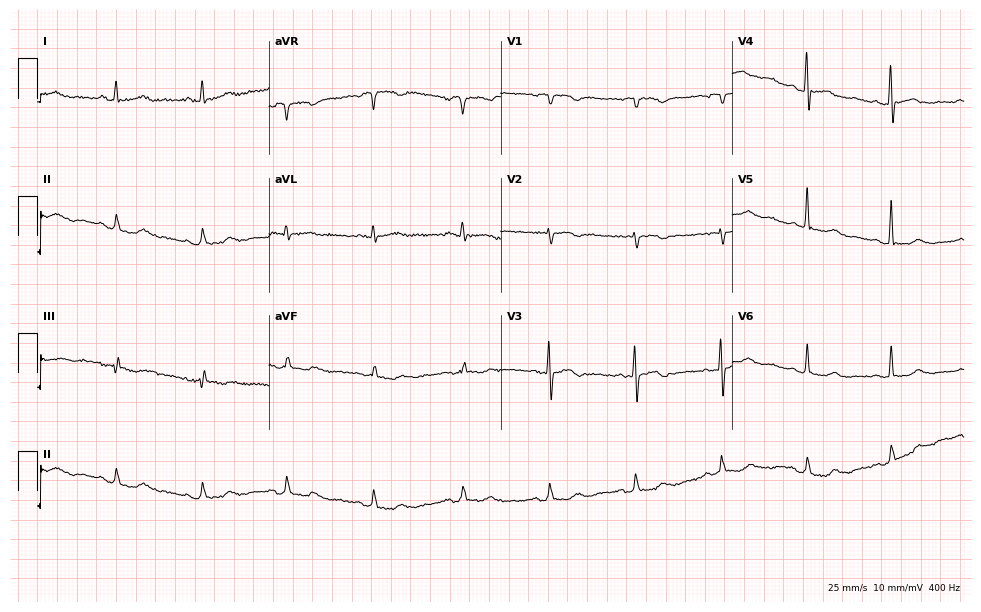
Resting 12-lead electrocardiogram (9.4-second recording at 400 Hz). Patient: a 66-year-old female. None of these six findings is recorded: first-degree AV block, right bundle branch block, left bundle branch block, sinus bradycardia, atrial fibrillation, sinus tachycardia.